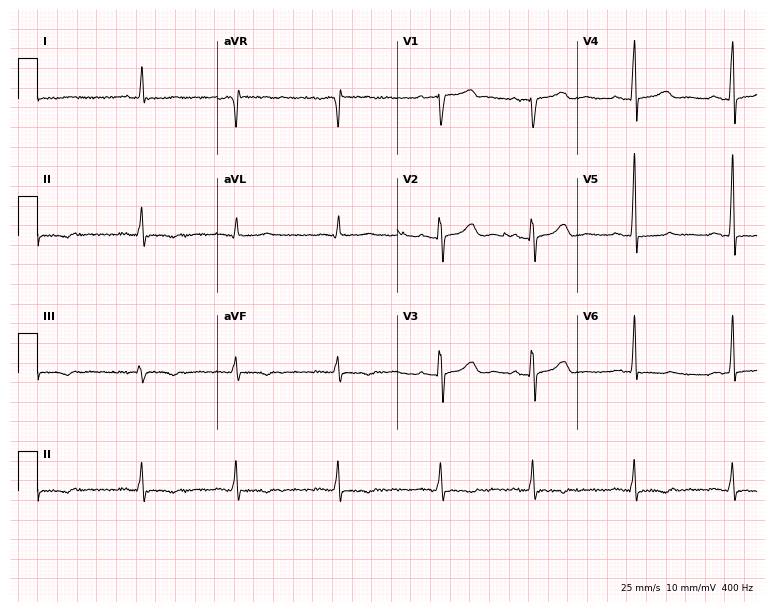
Electrocardiogram (7.3-second recording at 400 Hz), a female patient, 56 years old. Of the six screened findings (first-degree AV block, right bundle branch block, left bundle branch block, sinus bradycardia, atrial fibrillation, sinus tachycardia), none is recorded.